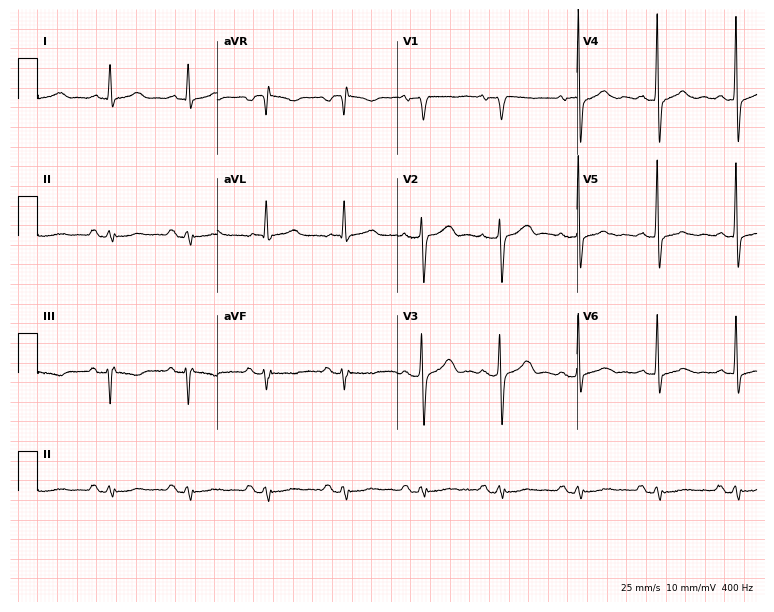
Electrocardiogram (7.3-second recording at 400 Hz), a 62-year-old woman. Of the six screened findings (first-degree AV block, right bundle branch block (RBBB), left bundle branch block (LBBB), sinus bradycardia, atrial fibrillation (AF), sinus tachycardia), none is recorded.